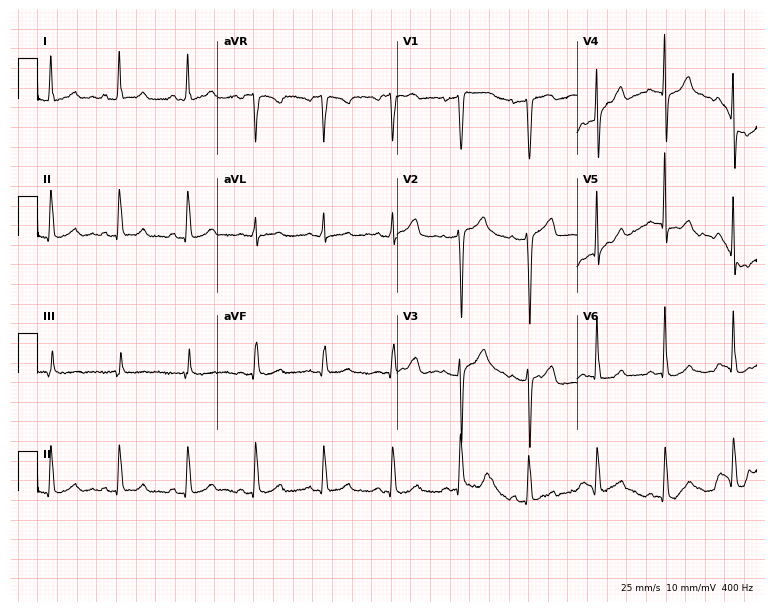
Standard 12-lead ECG recorded from a female patient, 61 years old (7.3-second recording at 400 Hz). None of these six findings is recorded: first-degree AV block, right bundle branch block (RBBB), left bundle branch block (LBBB), sinus bradycardia, atrial fibrillation (AF), sinus tachycardia.